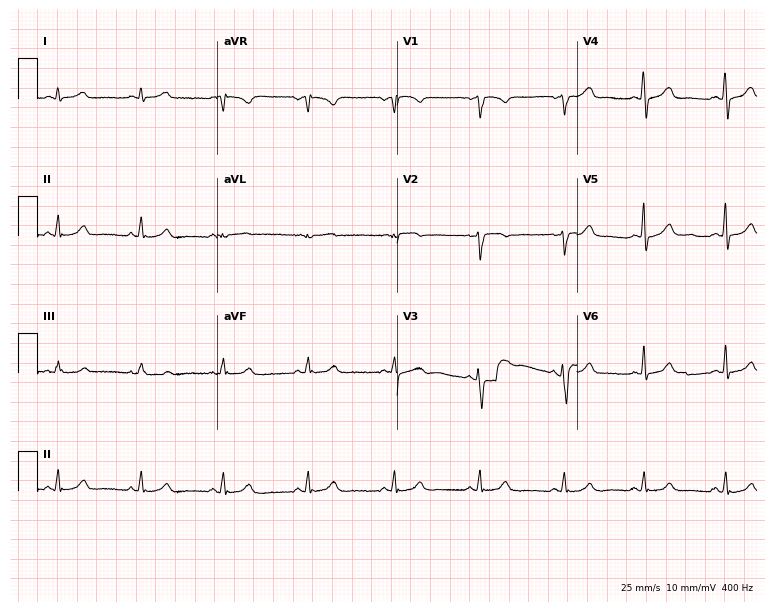
12-lead ECG from a woman, 33 years old (7.3-second recording at 400 Hz). Recorded interpretation: within normal limits.